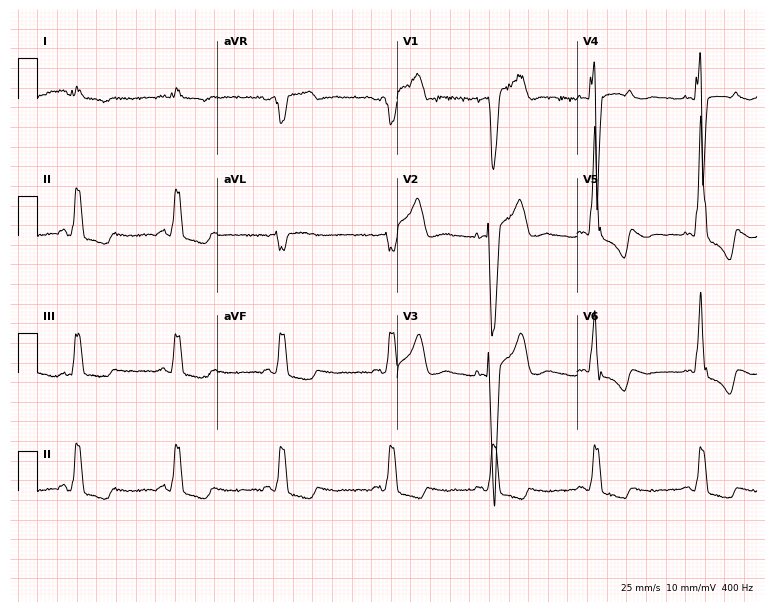
Electrocardiogram (7.3-second recording at 400 Hz), an 83-year-old male patient. Interpretation includes left bundle branch block (LBBB).